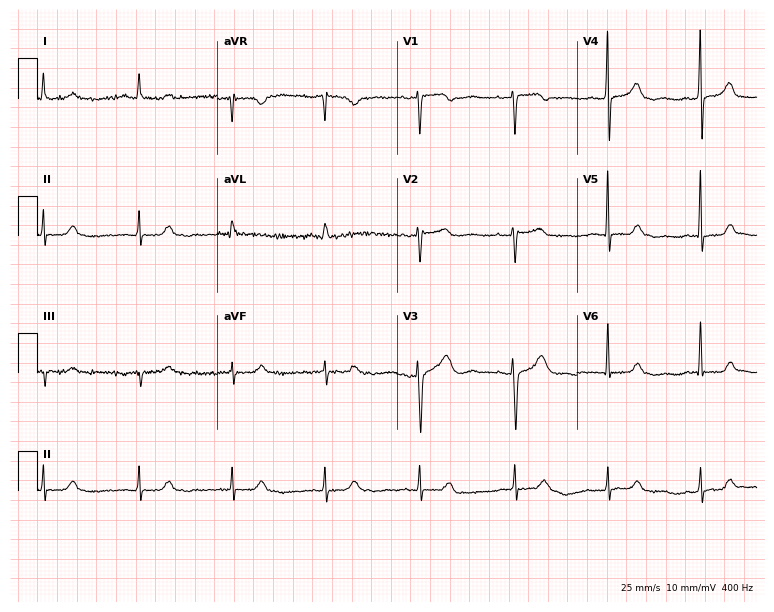
12-lead ECG from a 49-year-old woman (7.3-second recording at 400 Hz). Recorded interpretation: within normal limits.